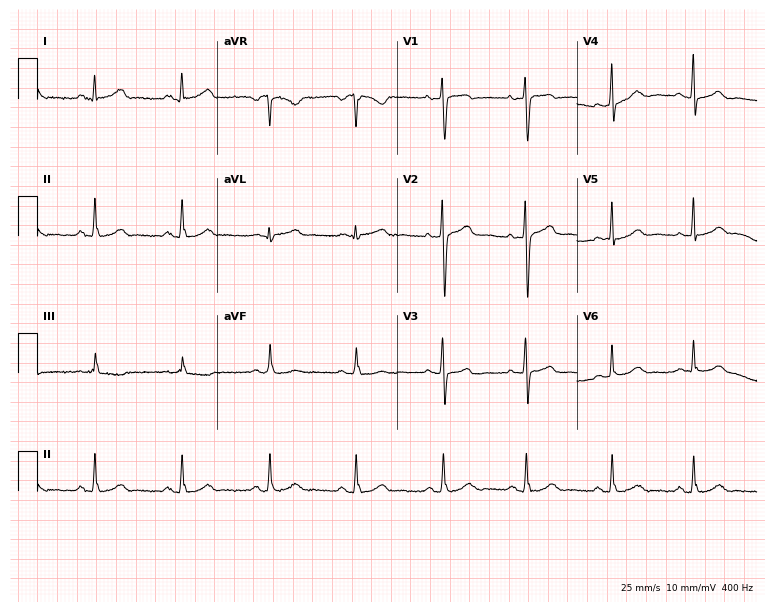
12-lead ECG (7.3-second recording at 400 Hz) from a 24-year-old female. Labelled as a normal ECG.